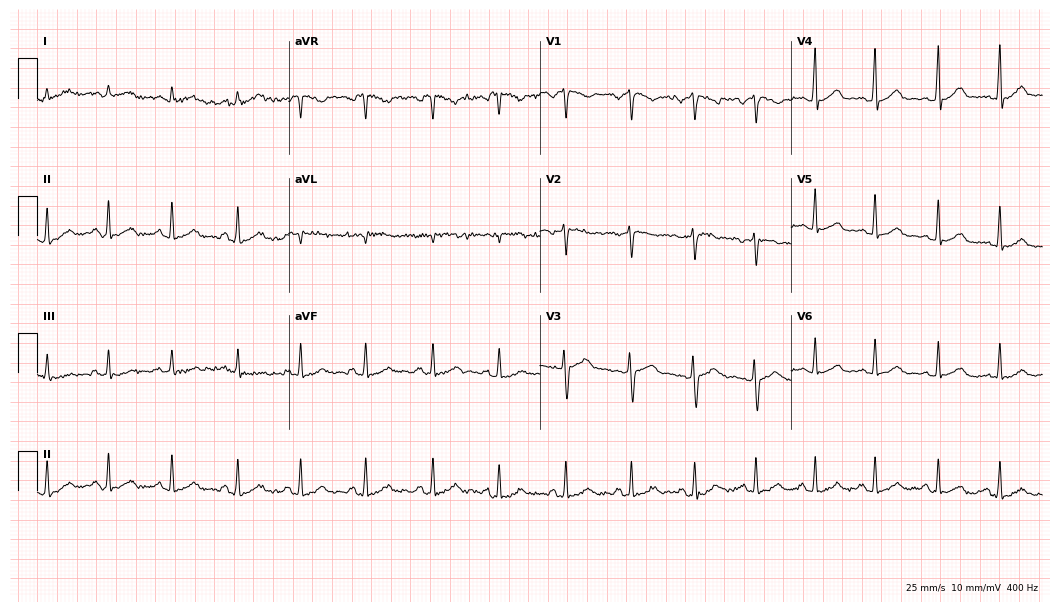
Resting 12-lead electrocardiogram. Patient: a 28-year-old female. None of these six findings is recorded: first-degree AV block, right bundle branch block, left bundle branch block, sinus bradycardia, atrial fibrillation, sinus tachycardia.